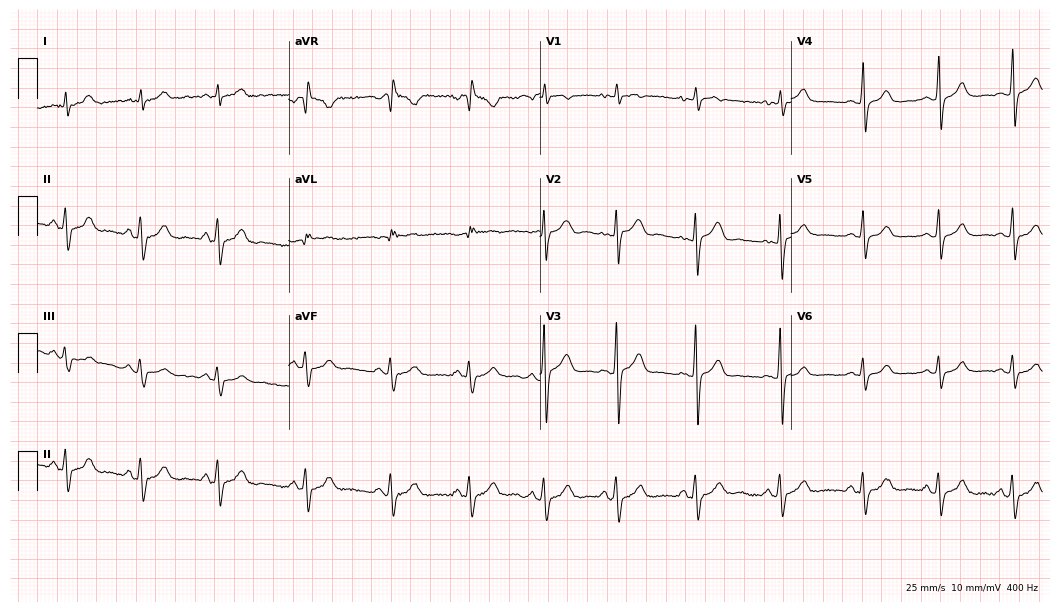
12-lead ECG from a 20-year-old female. Recorded interpretation: within normal limits.